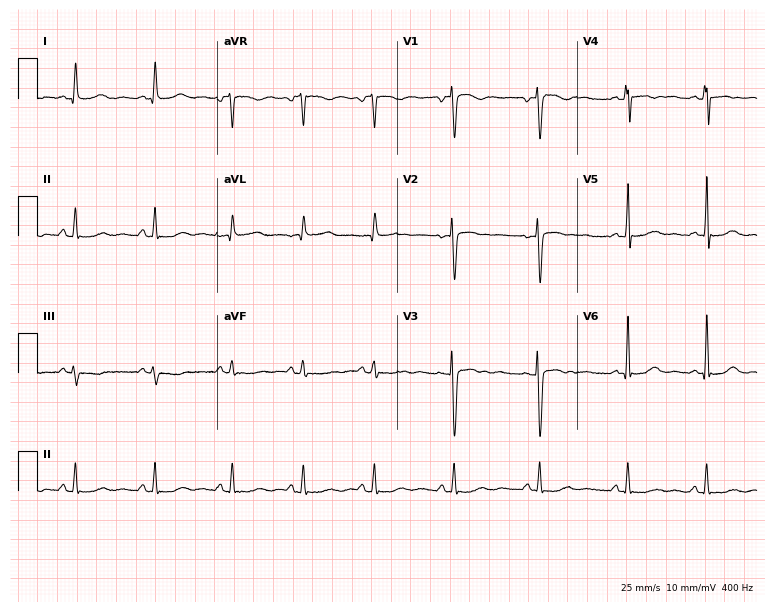
ECG (7.3-second recording at 400 Hz) — a woman, 21 years old. Labelled as a normal ECG.